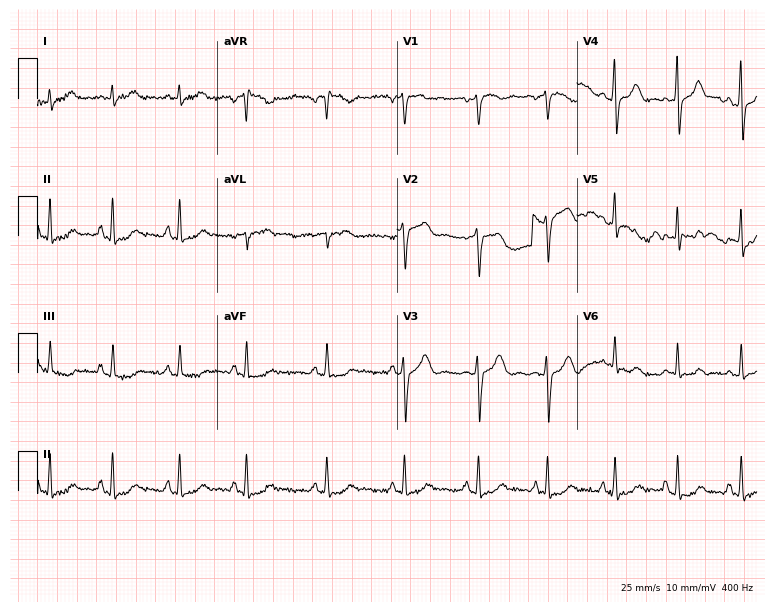
12-lead ECG from a woman, 42 years old (7.3-second recording at 400 Hz). Recorded interpretation: within normal limits.